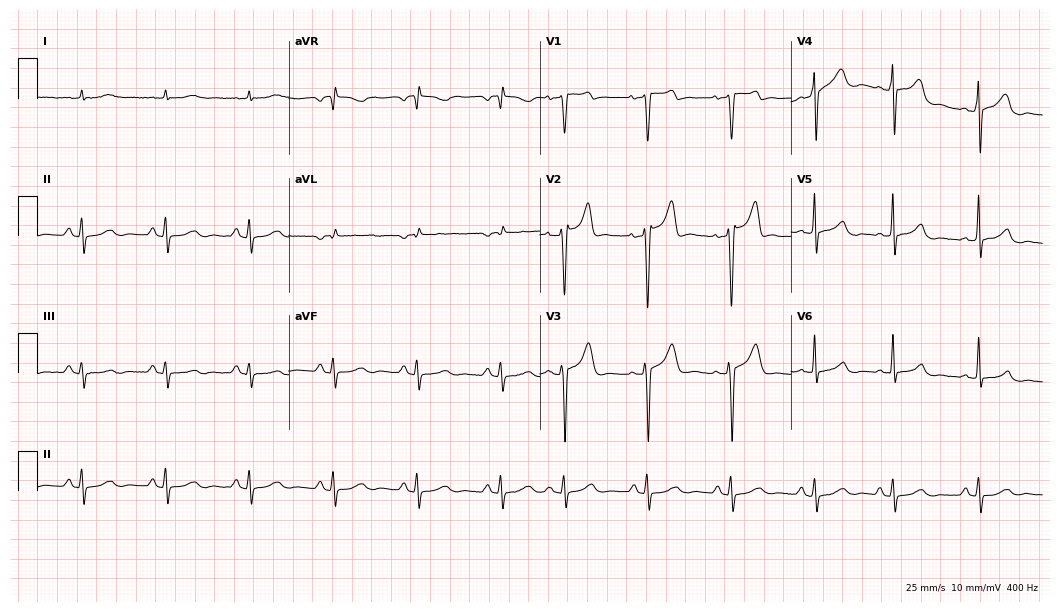
Standard 12-lead ECG recorded from a 66-year-old man. Read as a normal ECG.